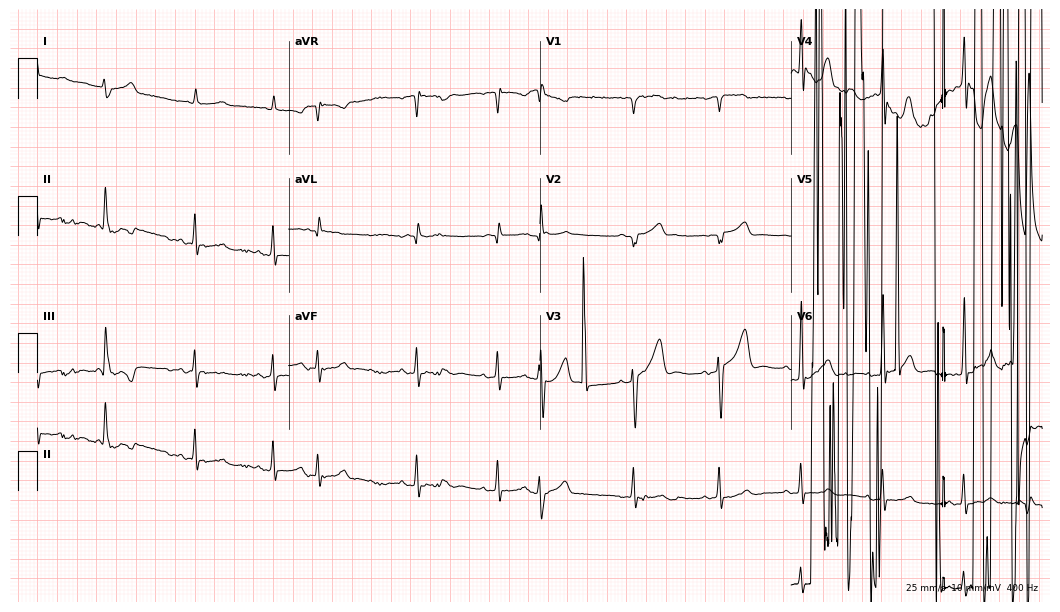
Standard 12-lead ECG recorded from a 58-year-old man (10.2-second recording at 400 Hz). None of these six findings is recorded: first-degree AV block, right bundle branch block, left bundle branch block, sinus bradycardia, atrial fibrillation, sinus tachycardia. Other findings, if any, are not listed.